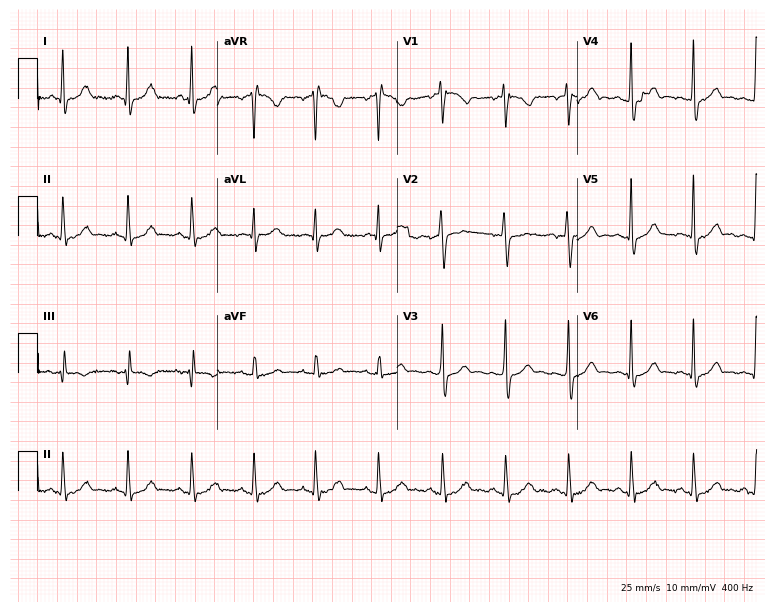
Electrocardiogram, a woman, 26 years old. Overall reading on record: normal ECG.